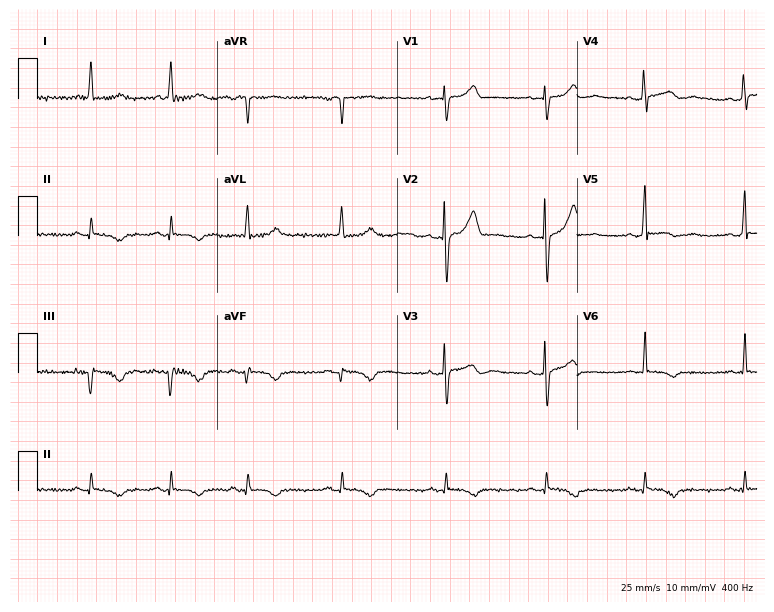
12-lead ECG from a man, 37 years old. Screened for six findings — first-degree AV block, right bundle branch block, left bundle branch block, sinus bradycardia, atrial fibrillation, sinus tachycardia — none is recorded. Only these six findings were labelled.